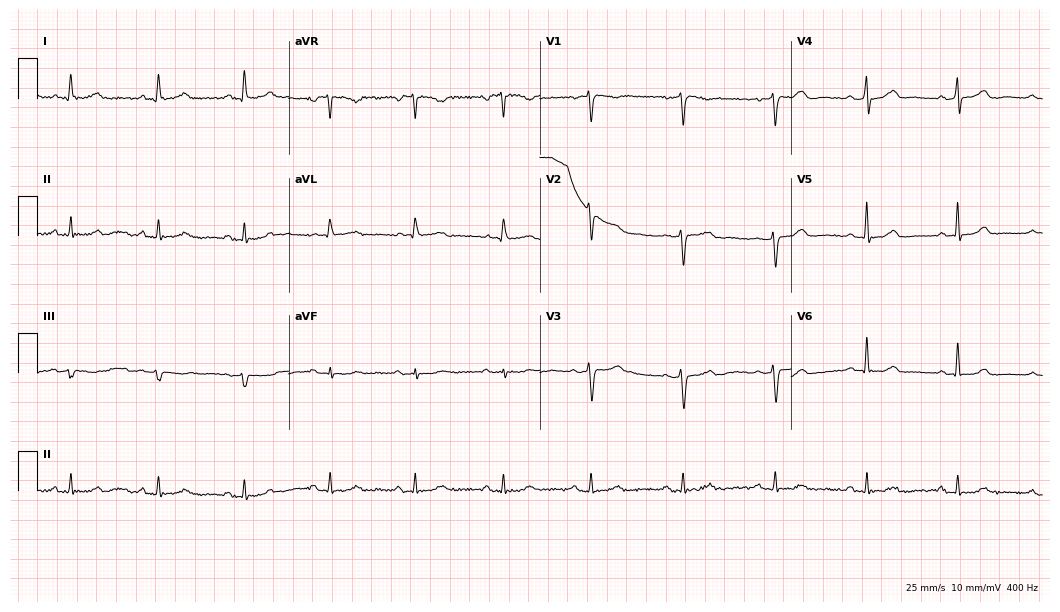
12-lead ECG from a woman, 49 years old (10.2-second recording at 400 Hz). No first-degree AV block, right bundle branch block, left bundle branch block, sinus bradycardia, atrial fibrillation or sinus tachycardia recorded for this tracing. Findings outside these six are not listed.